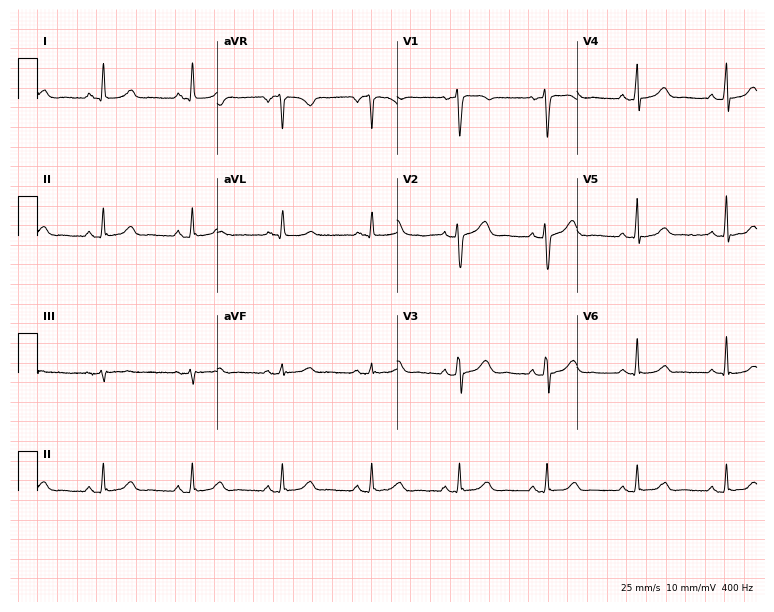
Electrocardiogram (7.3-second recording at 400 Hz), a female, 60 years old. Overall reading on record: normal ECG.